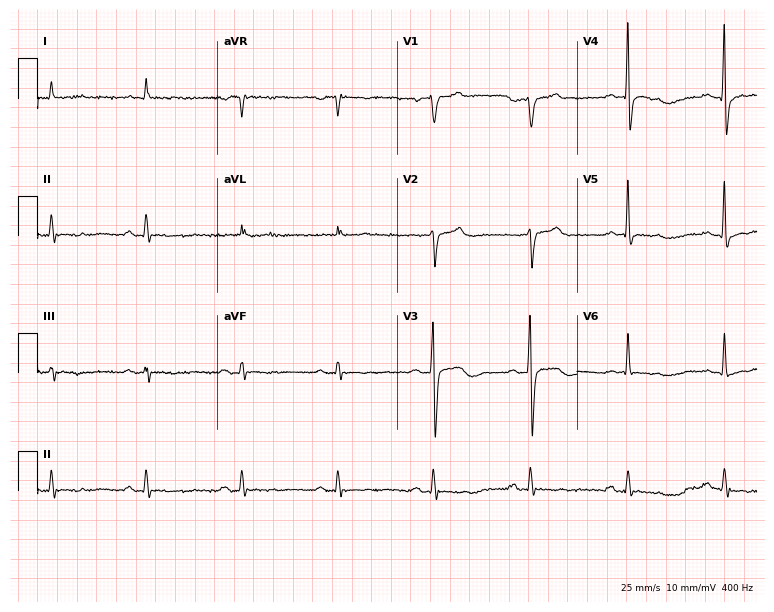
Electrocardiogram (7.3-second recording at 400 Hz), a man, 60 years old. Of the six screened findings (first-degree AV block, right bundle branch block, left bundle branch block, sinus bradycardia, atrial fibrillation, sinus tachycardia), none is recorded.